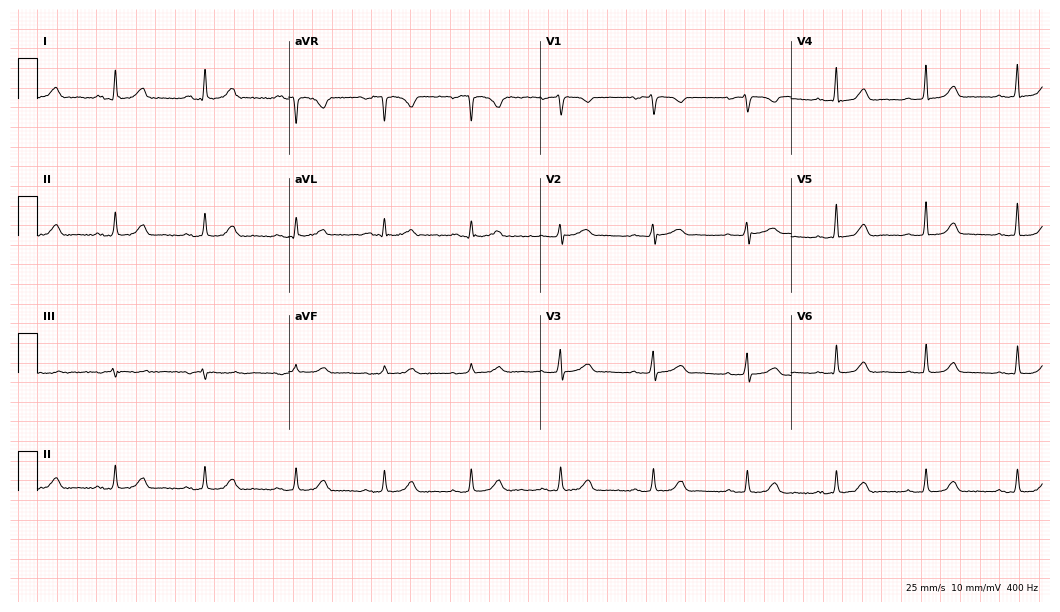
Standard 12-lead ECG recorded from a 44-year-old woman (10.2-second recording at 400 Hz). Read as a normal ECG.